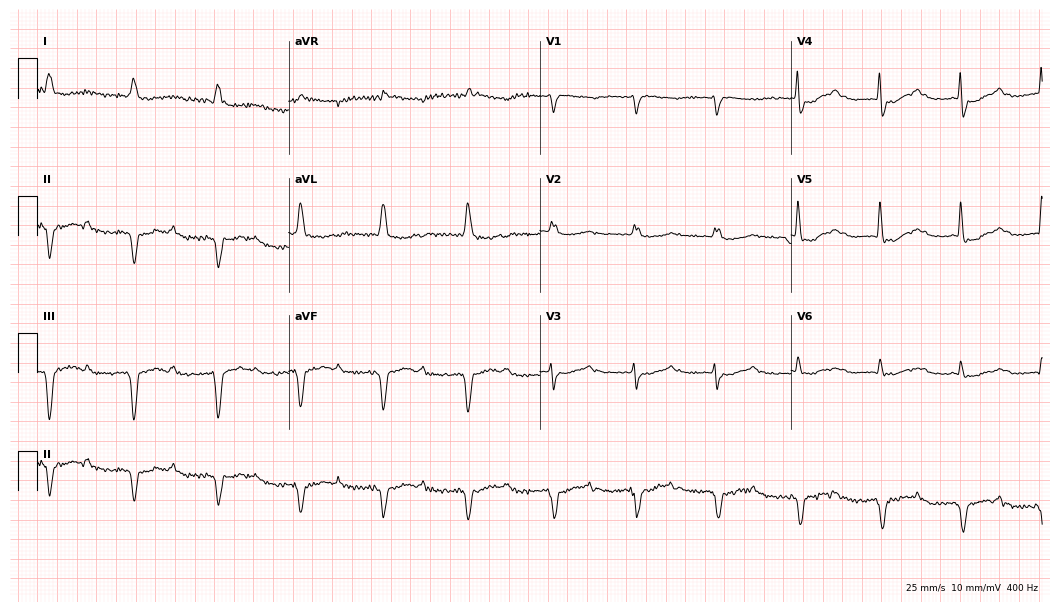
Standard 12-lead ECG recorded from an 83-year-old man (10.2-second recording at 400 Hz). None of these six findings is recorded: first-degree AV block, right bundle branch block, left bundle branch block, sinus bradycardia, atrial fibrillation, sinus tachycardia.